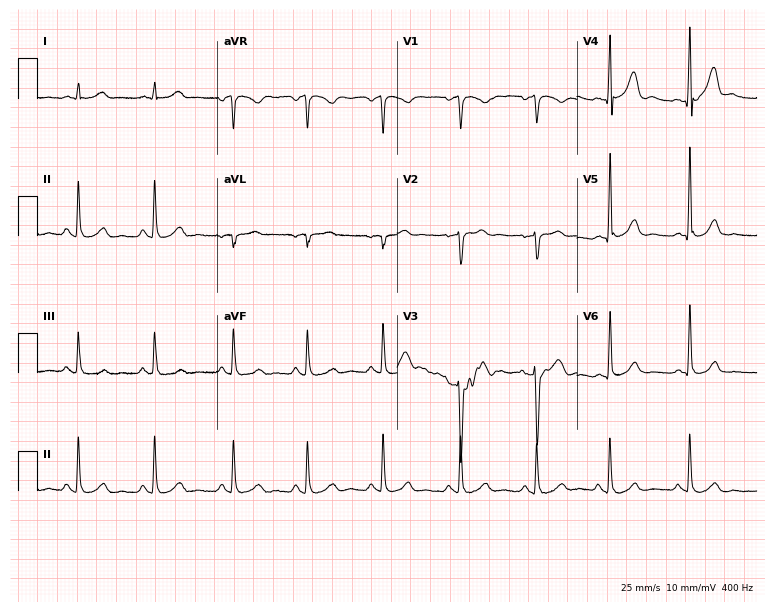
Standard 12-lead ECG recorded from a male patient, 47 years old. None of these six findings is recorded: first-degree AV block, right bundle branch block, left bundle branch block, sinus bradycardia, atrial fibrillation, sinus tachycardia. Other findings, if any, are not listed.